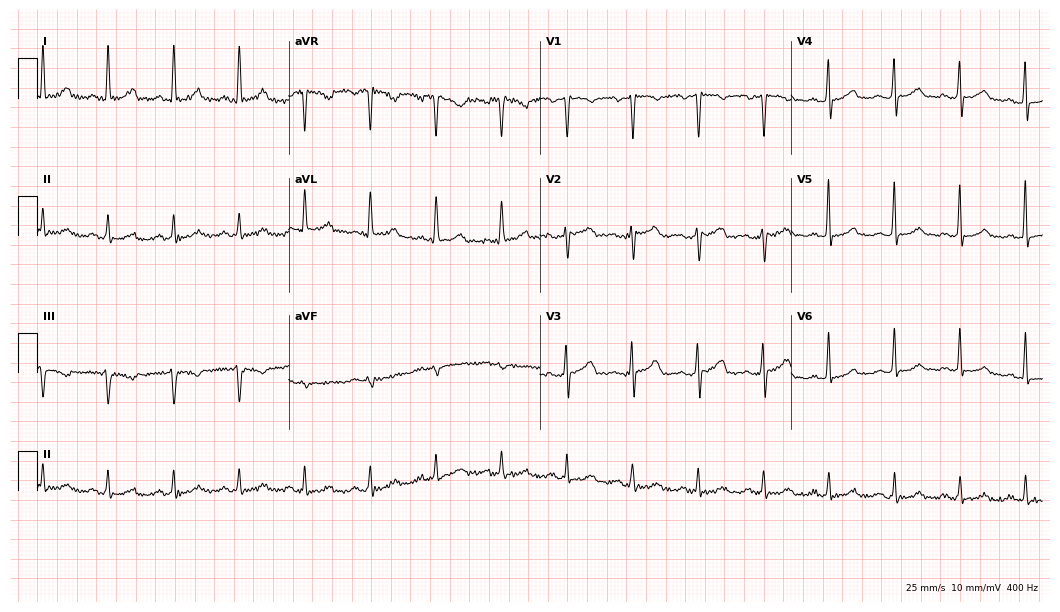
12-lead ECG from a 51-year-old woman. Labelled as a normal ECG.